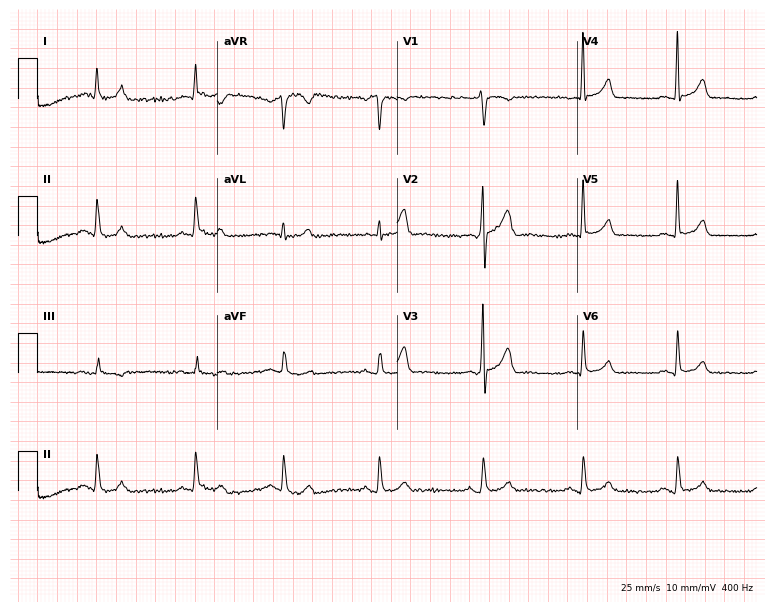
Resting 12-lead electrocardiogram (7.3-second recording at 400 Hz). Patient: a 42-year-old man. Read as a normal ECG.